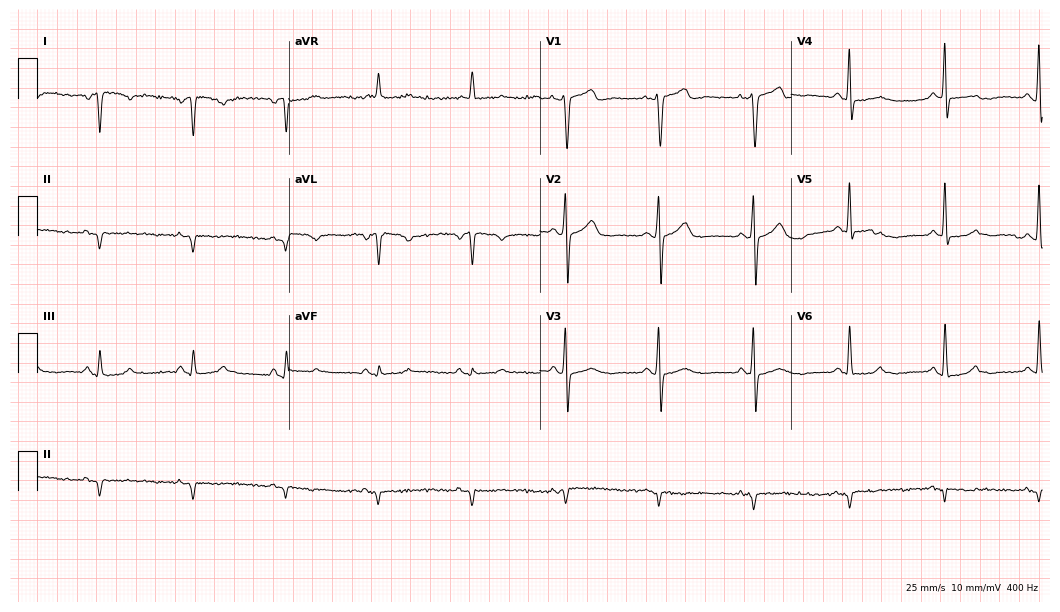
Standard 12-lead ECG recorded from a male, 53 years old (10.2-second recording at 400 Hz). None of these six findings is recorded: first-degree AV block, right bundle branch block, left bundle branch block, sinus bradycardia, atrial fibrillation, sinus tachycardia. Other findings, if any, are not listed.